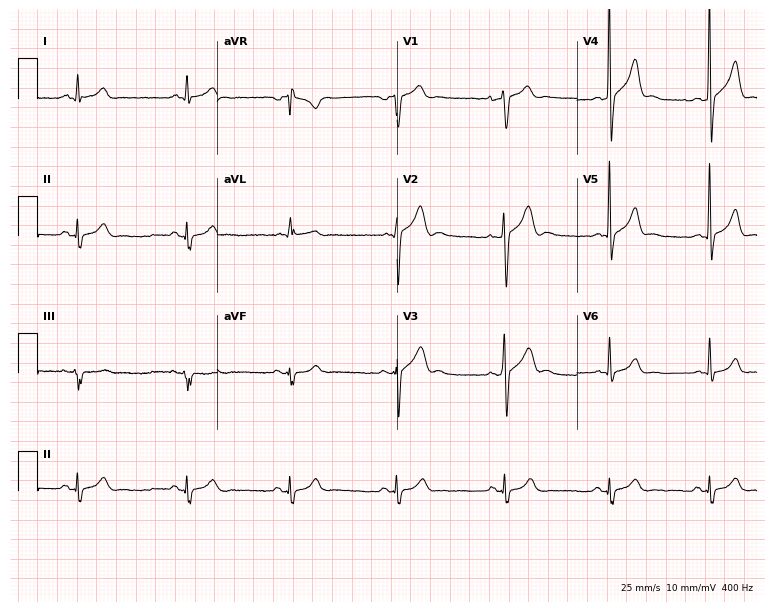
Resting 12-lead electrocardiogram. Patient: a male, 19 years old. Read as a normal ECG.